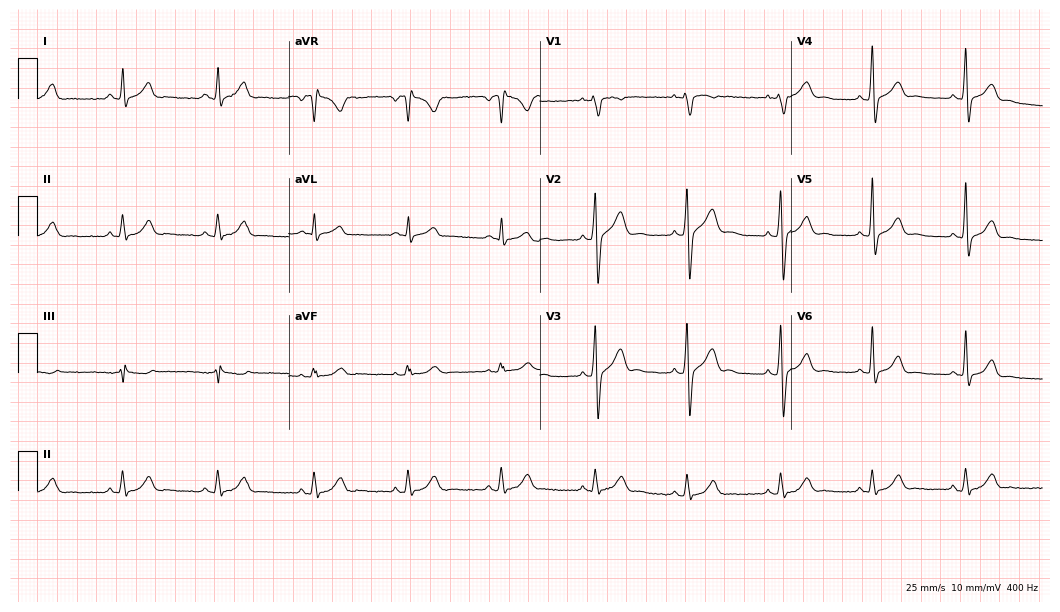
12-lead ECG (10.2-second recording at 400 Hz) from a male, 37 years old. Labelled as a normal ECG.